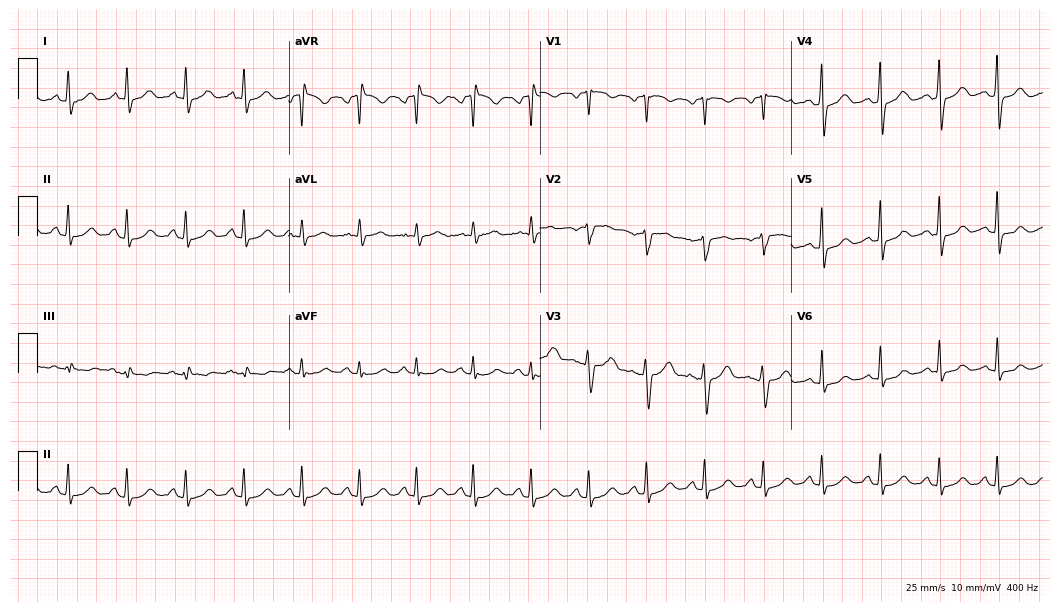
Electrocardiogram, a female patient, 58 years old. Overall reading on record: normal ECG.